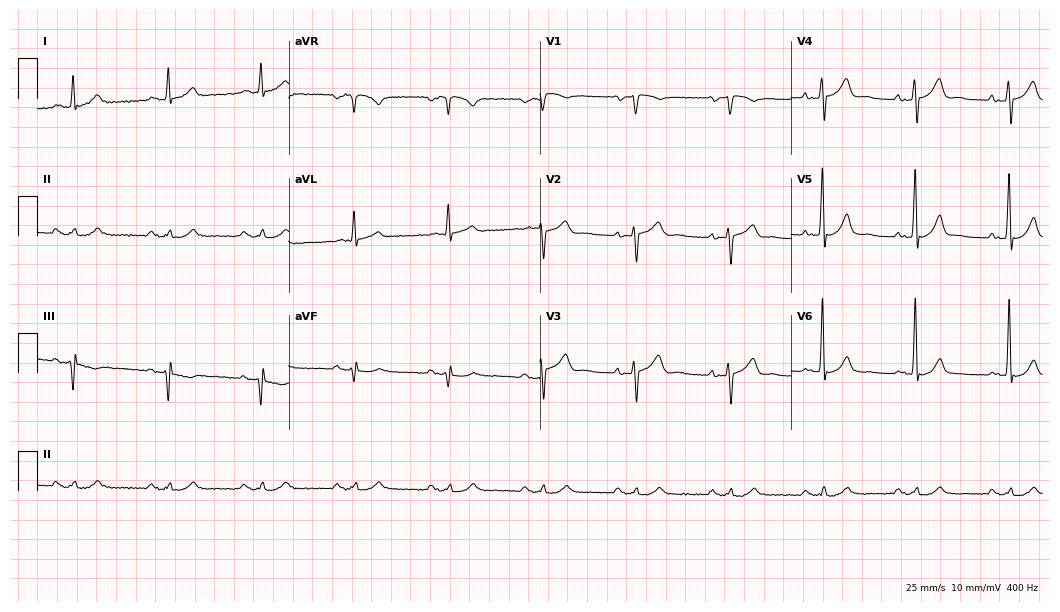
Standard 12-lead ECG recorded from a 63-year-old male patient. Read as a normal ECG.